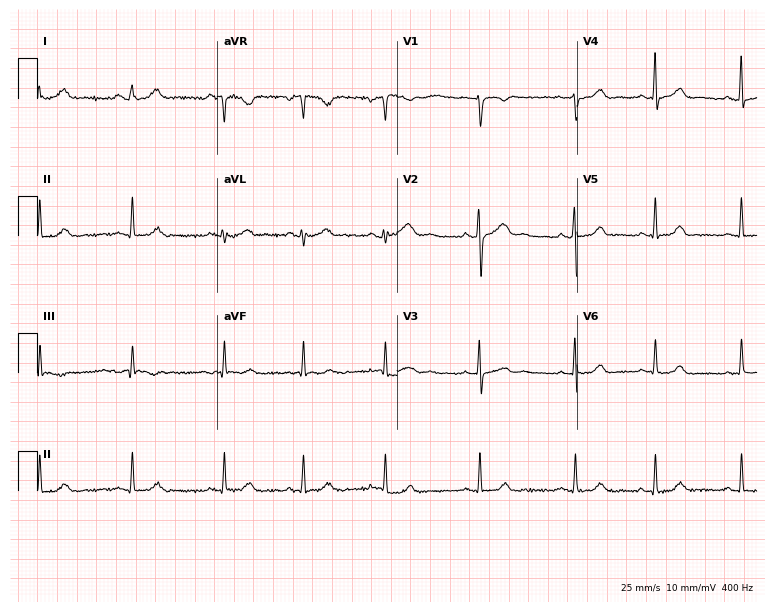
ECG — a 25-year-old woman. Labelled as a normal ECG.